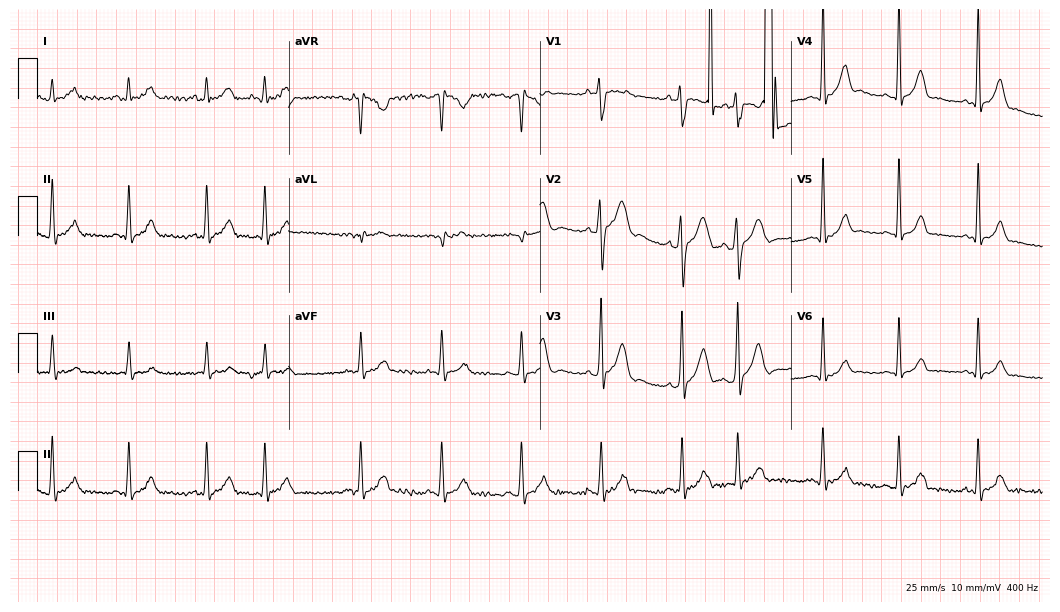
12-lead ECG from a female patient, 28 years old (10.2-second recording at 400 Hz). No first-degree AV block, right bundle branch block (RBBB), left bundle branch block (LBBB), sinus bradycardia, atrial fibrillation (AF) or sinus tachycardia recorded for this tracing. Only these six findings were labelled.